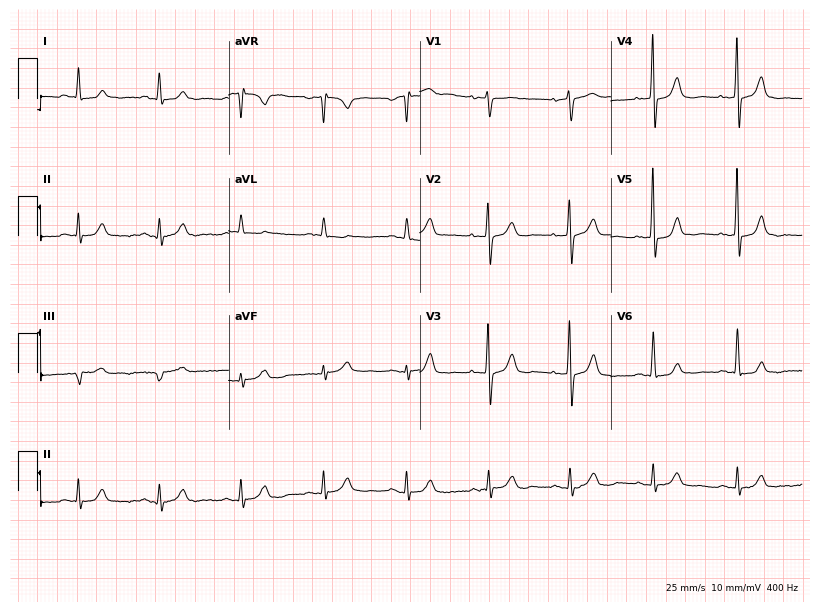
Standard 12-lead ECG recorded from a male, 70 years old (7.8-second recording at 400 Hz). Read as a normal ECG.